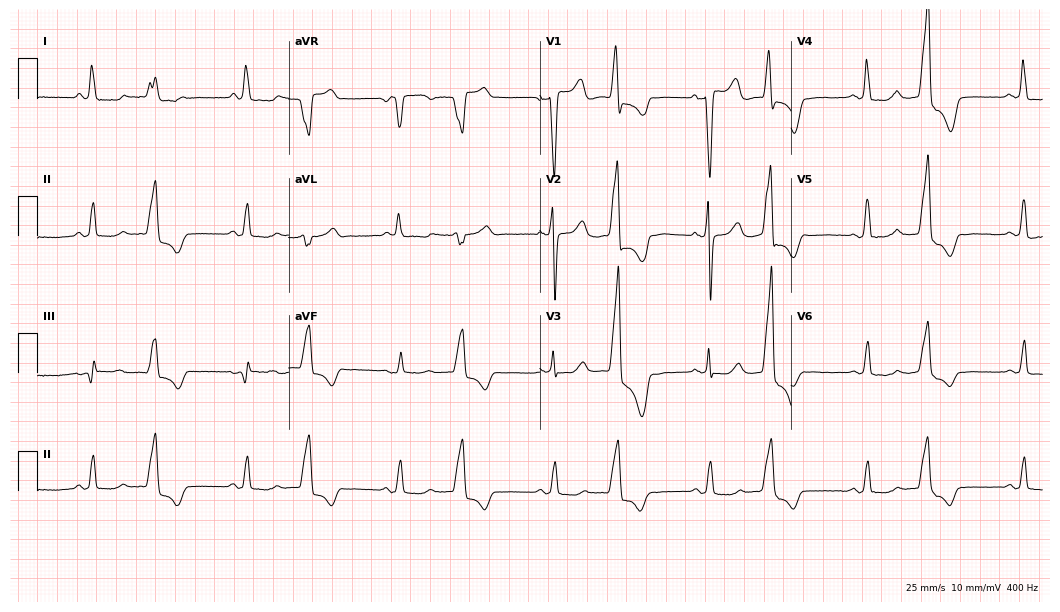
Resting 12-lead electrocardiogram. Patient: an 80-year-old woman. None of these six findings is recorded: first-degree AV block, right bundle branch block, left bundle branch block, sinus bradycardia, atrial fibrillation, sinus tachycardia.